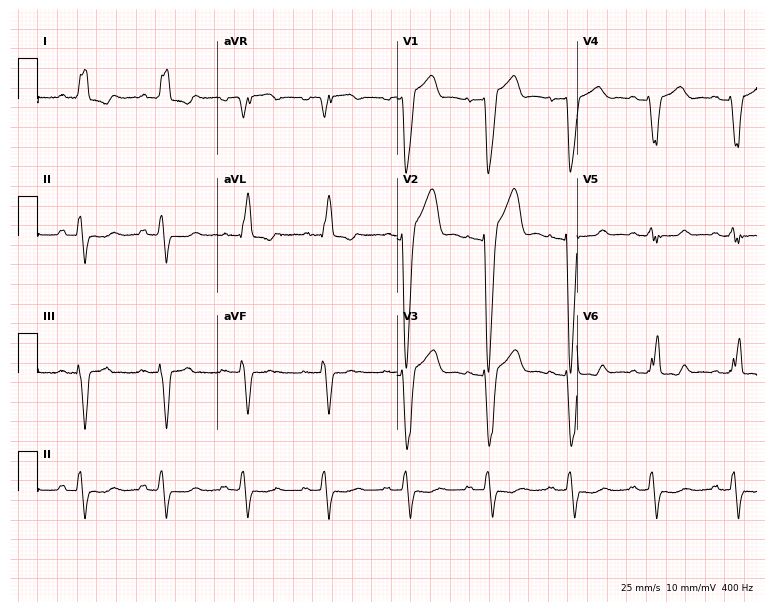
Resting 12-lead electrocardiogram (7.3-second recording at 400 Hz). Patient: a male, 57 years old. The tracing shows left bundle branch block.